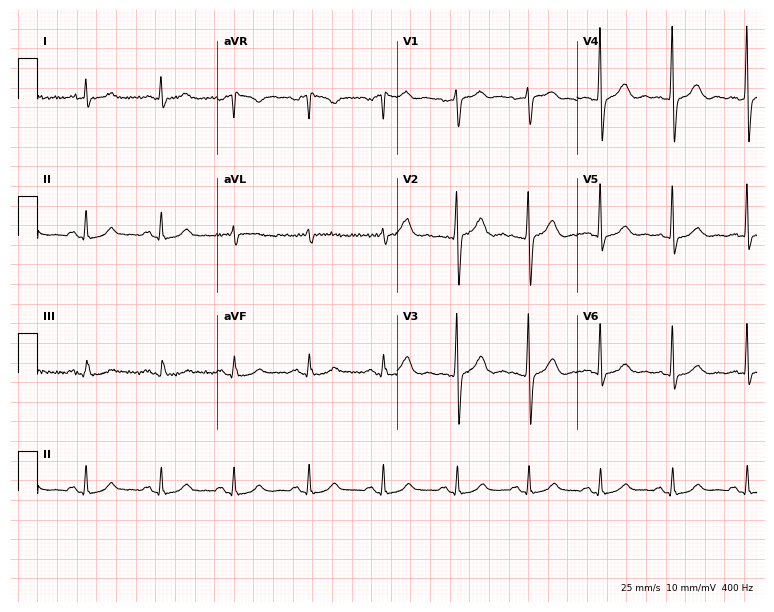
Electrocardiogram (7.3-second recording at 400 Hz), a 79-year-old male patient. Overall reading on record: normal ECG.